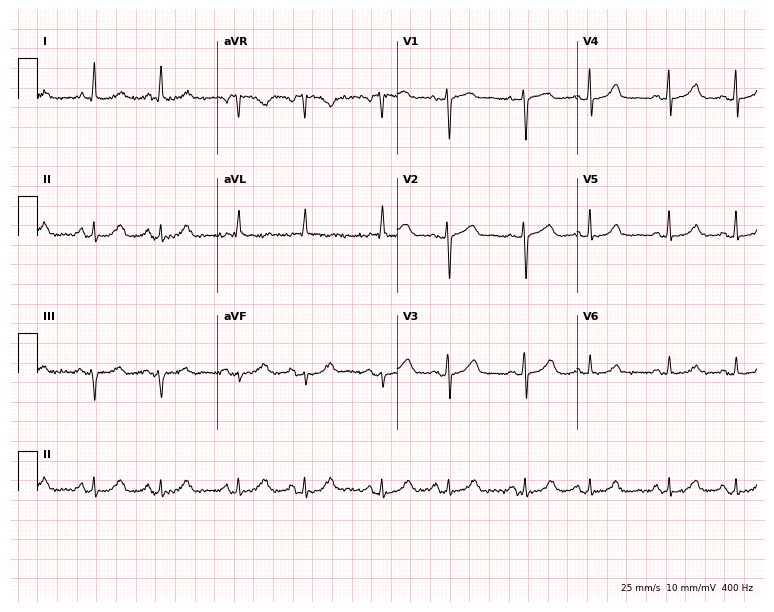
Standard 12-lead ECG recorded from a 58-year-old female patient. Read as a normal ECG.